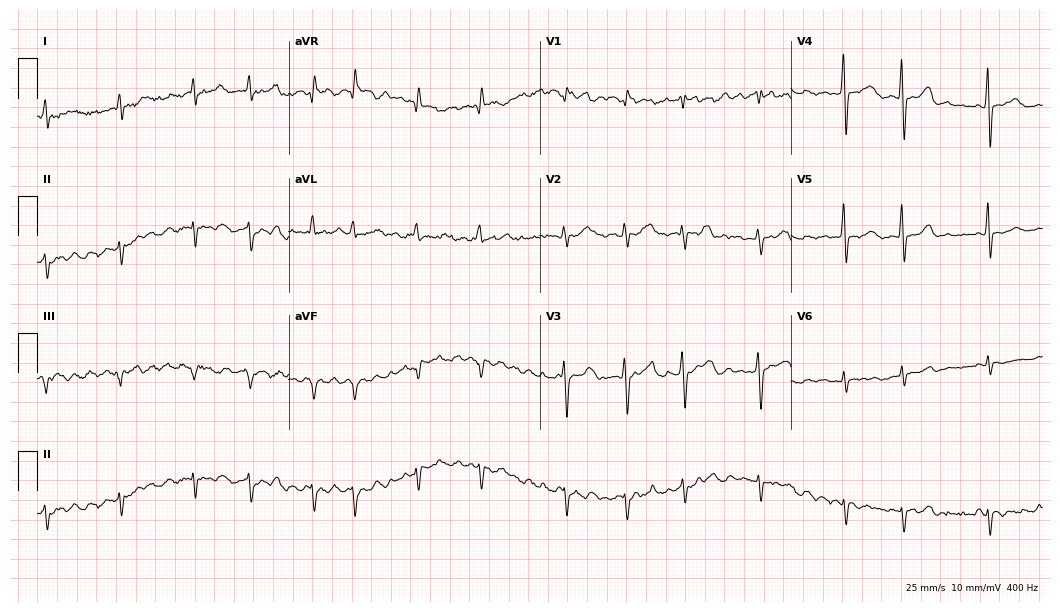
Electrocardiogram, a male patient, 56 years old. Interpretation includes atrial fibrillation.